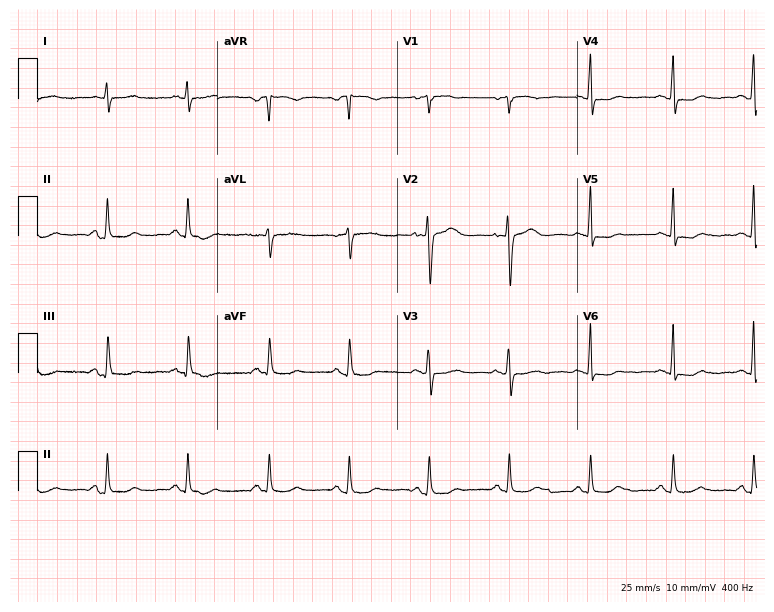
Electrocardiogram, a 53-year-old woman. Of the six screened findings (first-degree AV block, right bundle branch block (RBBB), left bundle branch block (LBBB), sinus bradycardia, atrial fibrillation (AF), sinus tachycardia), none is recorded. Findings outside these six are not listed.